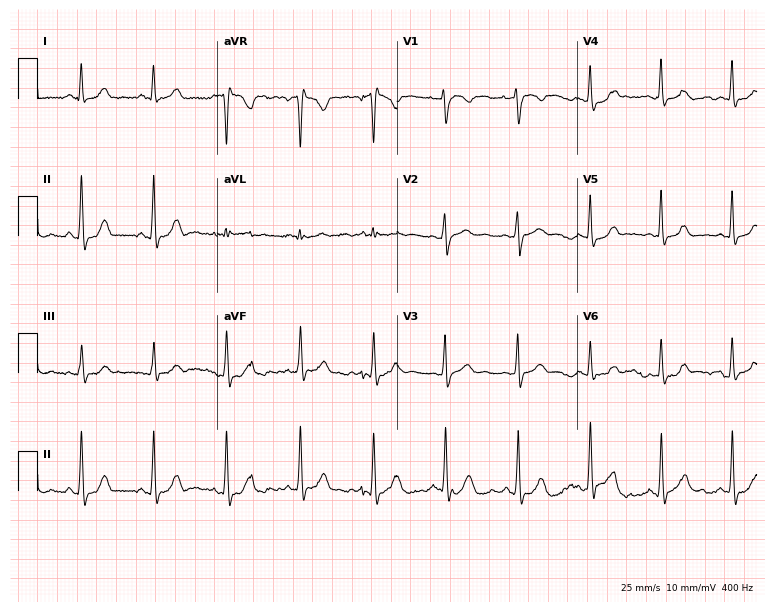
ECG — a 40-year-old woman. Labelled as a normal ECG.